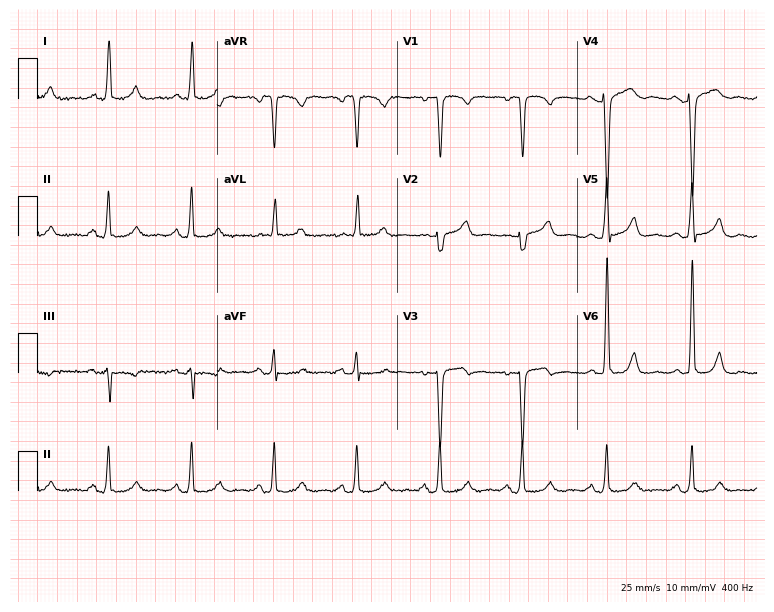
Electrocardiogram (7.3-second recording at 400 Hz), a female patient, 60 years old. Of the six screened findings (first-degree AV block, right bundle branch block (RBBB), left bundle branch block (LBBB), sinus bradycardia, atrial fibrillation (AF), sinus tachycardia), none is recorded.